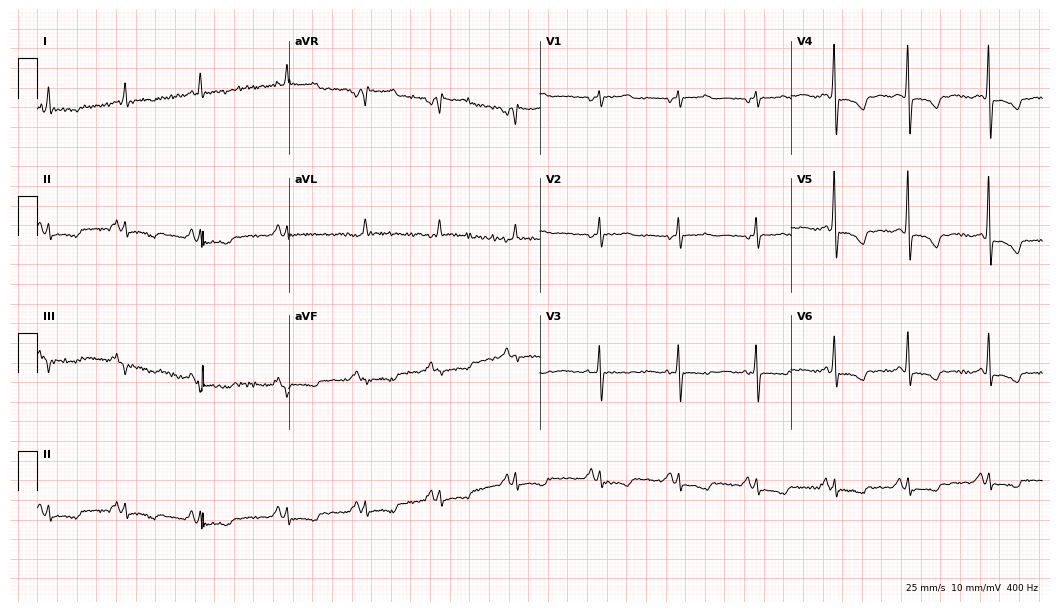
12-lead ECG from a female patient, 76 years old. No first-degree AV block, right bundle branch block, left bundle branch block, sinus bradycardia, atrial fibrillation or sinus tachycardia recorded for this tracing.